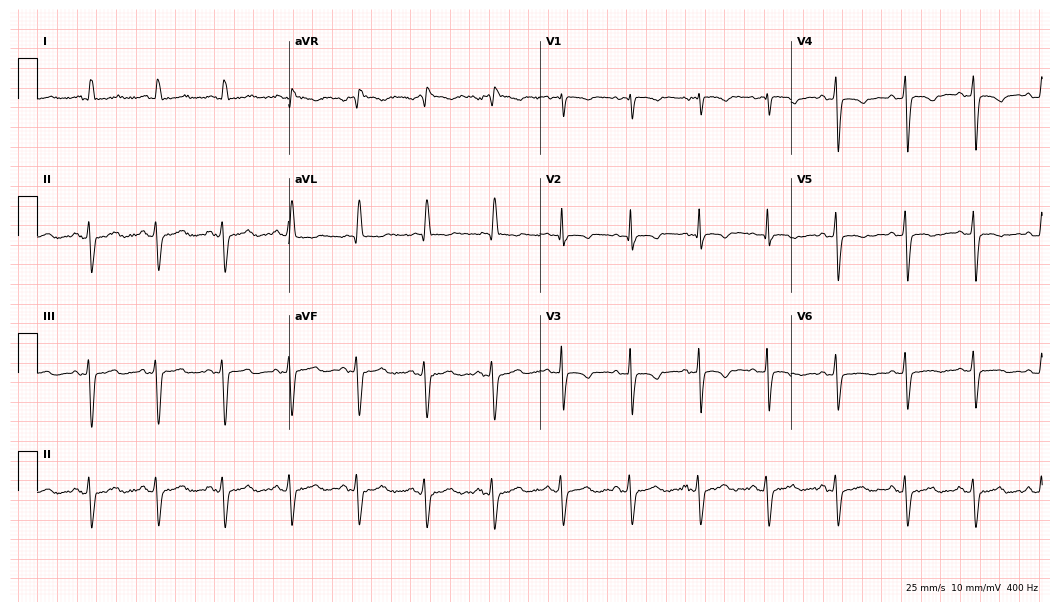
Electrocardiogram (10.2-second recording at 400 Hz), a female patient, 66 years old. Of the six screened findings (first-degree AV block, right bundle branch block, left bundle branch block, sinus bradycardia, atrial fibrillation, sinus tachycardia), none is recorded. Only these six findings were labelled.